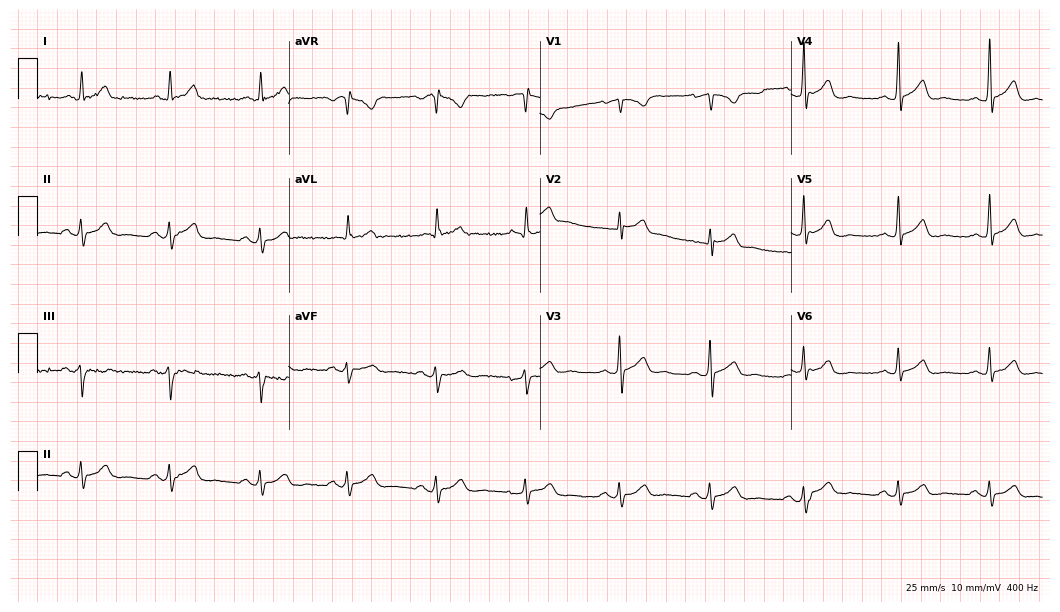
12-lead ECG from a 57-year-old male patient. Screened for six findings — first-degree AV block, right bundle branch block (RBBB), left bundle branch block (LBBB), sinus bradycardia, atrial fibrillation (AF), sinus tachycardia — none is recorded.